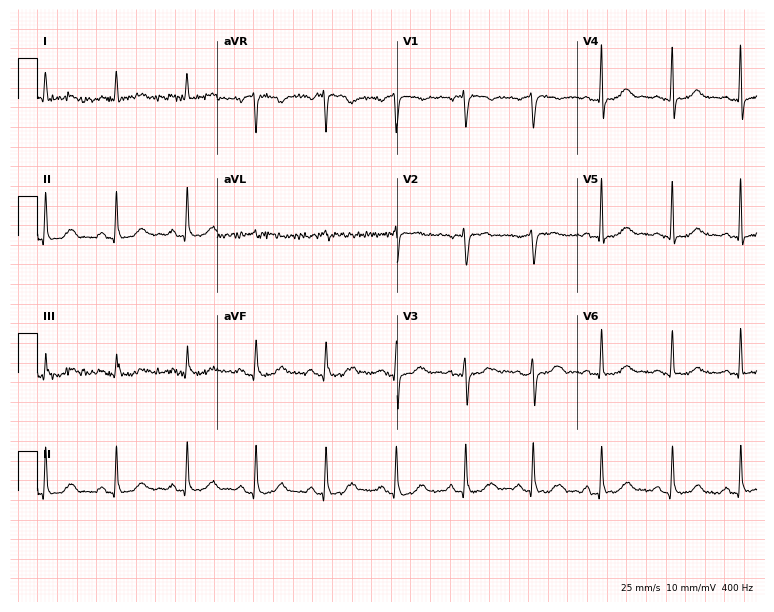
12-lead ECG from a female, 52 years old. Recorded interpretation: within normal limits.